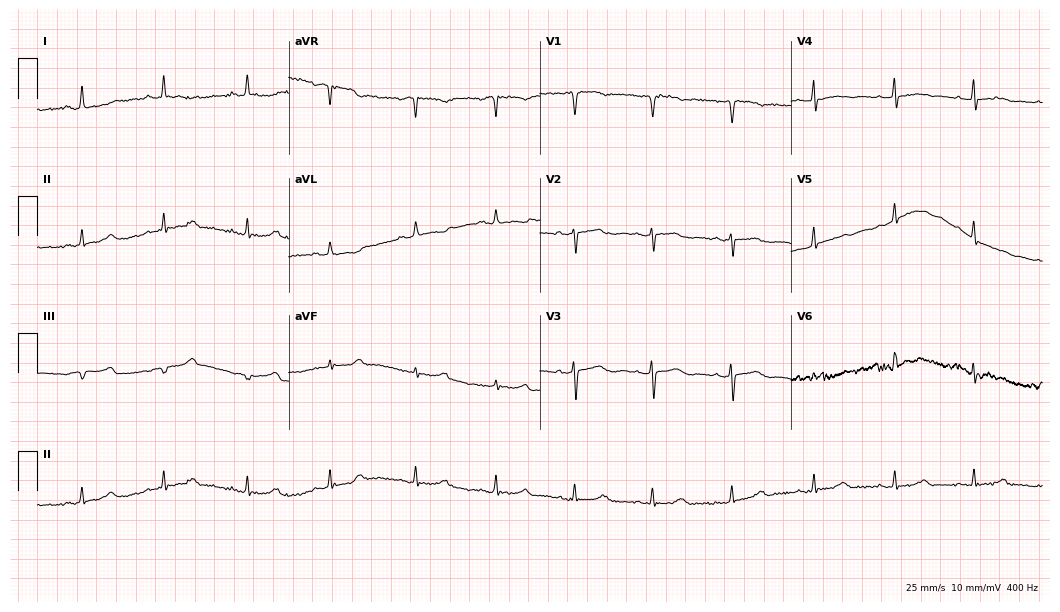
ECG — a female, 48 years old. Screened for six findings — first-degree AV block, right bundle branch block, left bundle branch block, sinus bradycardia, atrial fibrillation, sinus tachycardia — none is recorded. Only these six findings were labelled.